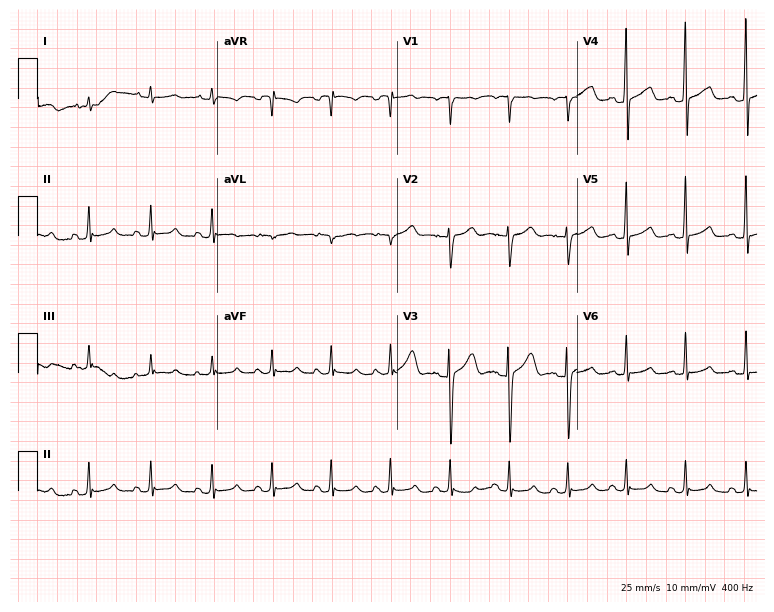
12-lead ECG (7.3-second recording at 400 Hz) from a female patient, 24 years old. Screened for six findings — first-degree AV block, right bundle branch block, left bundle branch block, sinus bradycardia, atrial fibrillation, sinus tachycardia — none is recorded. Only these six findings were labelled.